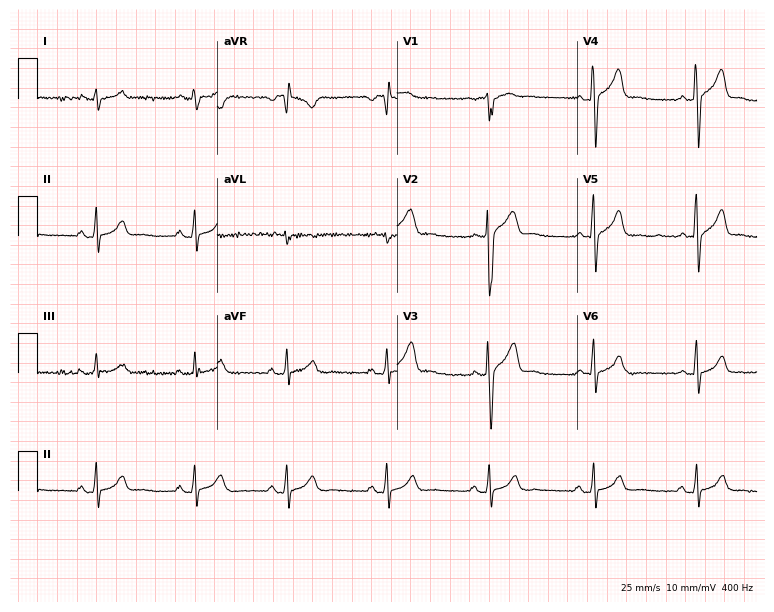
12-lead ECG from a 29-year-old male patient (7.3-second recording at 400 Hz). Recorded interpretation: within normal limits.